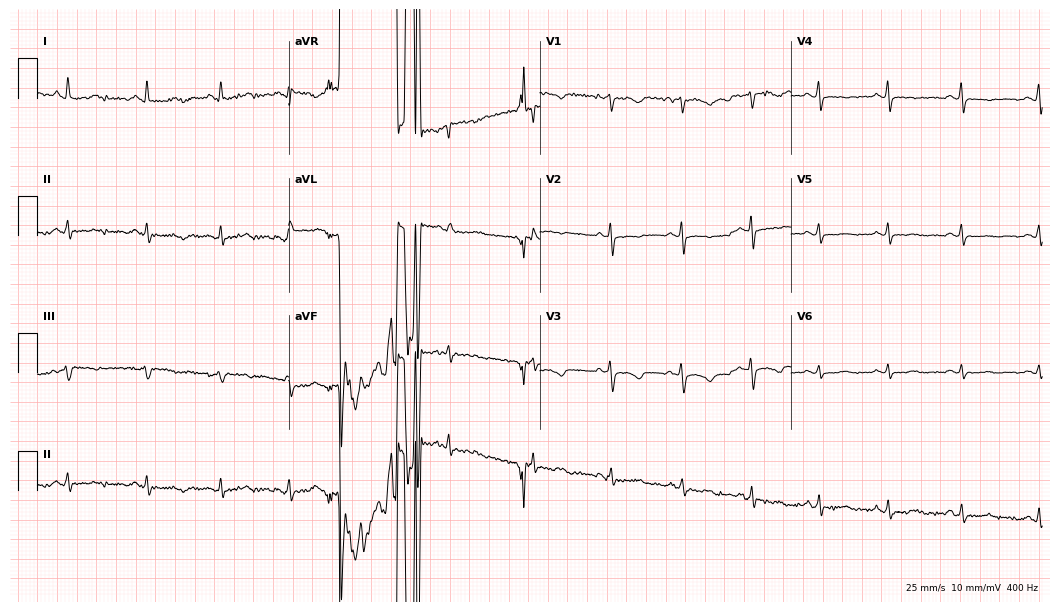
Electrocardiogram (10.2-second recording at 400 Hz), a 28-year-old female patient. Of the six screened findings (first-degree AV block, right bundle branch block (RBBB), left bundle branch block (LBBB), sinus bradycardia, atrial fibrillation (AF), sinus tachycardia), none is recorded. Other findings, if any, are not listed.